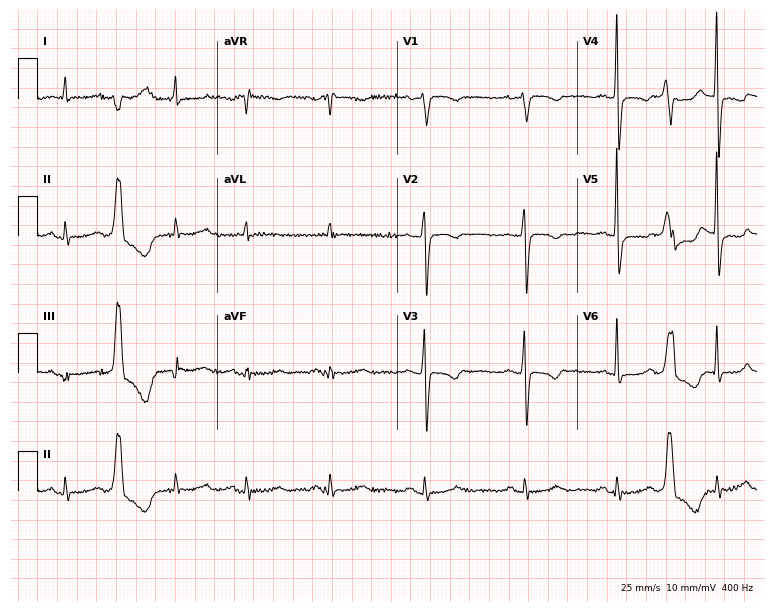
12-lead ECG from a 53-year-old female. Screened for six findings — first-degree AV block, right bundle branch block, left bundle branch block, sinus bradycardia, atrial fibrillation, sinus tachycardia — none is recorded. Other findings, if any, are not listed.